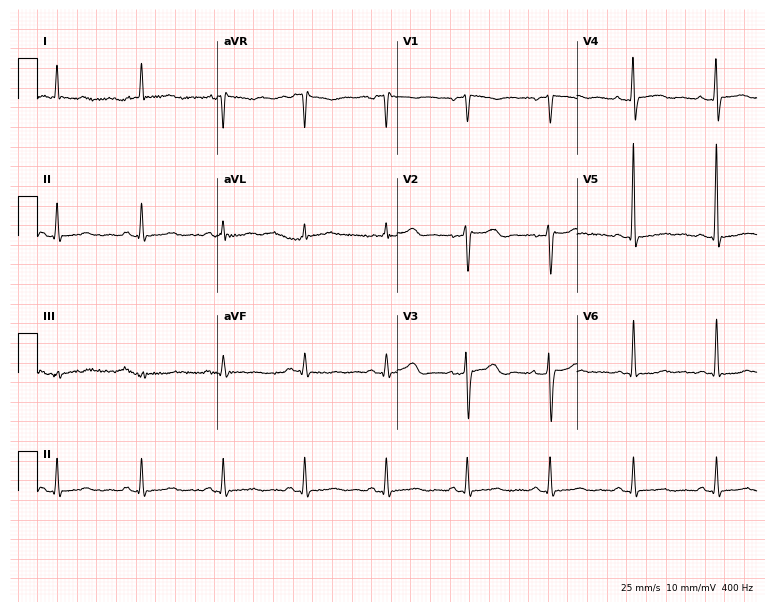
Electrocardiogram, a 37-year-old man. Of the six screened findings (first-degree AV block, right bundle branch block, left bundle branch block, sinus bradycardia, atrial fibrillation, sinus tachycardia), none is recorded.